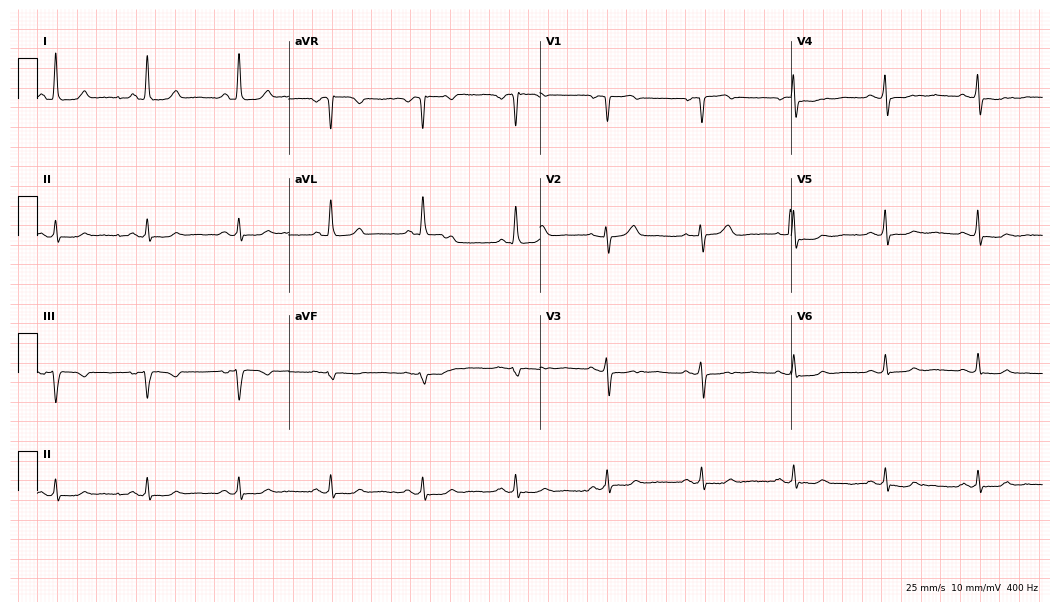
12-lead ECG from a 51-year-old female patient. No first-degree AV block, right bundle branch block (RBBB), left bundle branch block (LBBB), sinus bradycardia, atrial fibrillation (AF) or sinus tachycardia recorded for this tracing.